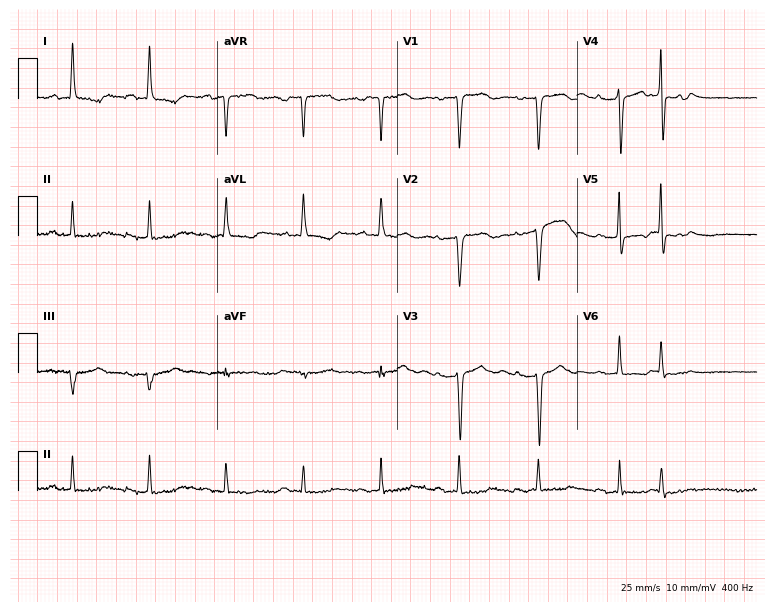
12-lead ECG from a female patient, 55 years old. Shows first-degree AV block.